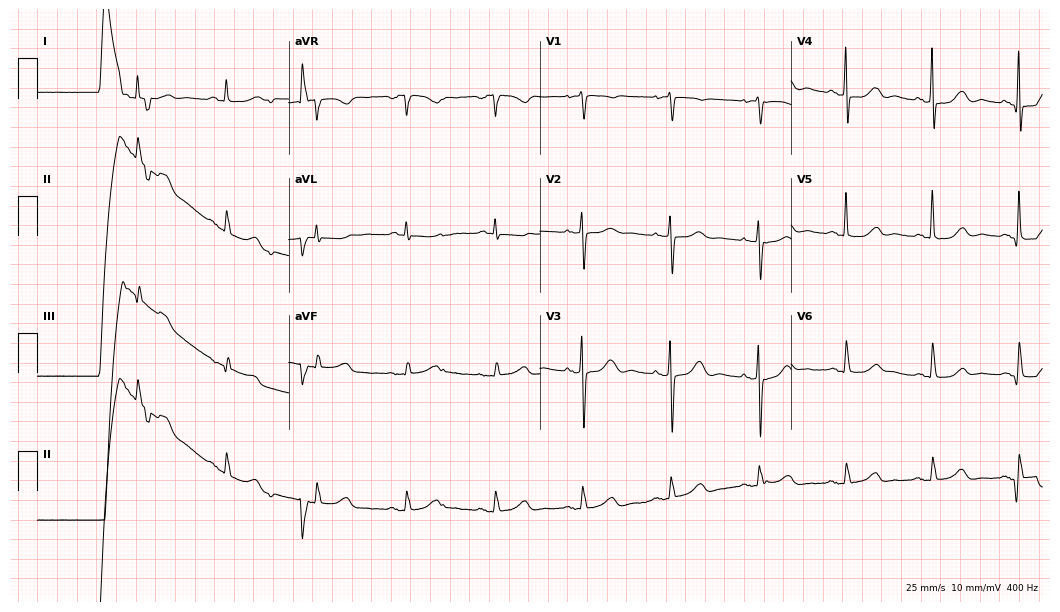
Electrocardiogram, a female patient, 82 years old. Of the six screened findings (first-degree AV block, right bundle branch block, left bundle branch block, sinus bradycardia, atrial fibrillation, sinus tachycardia), none is recorded.